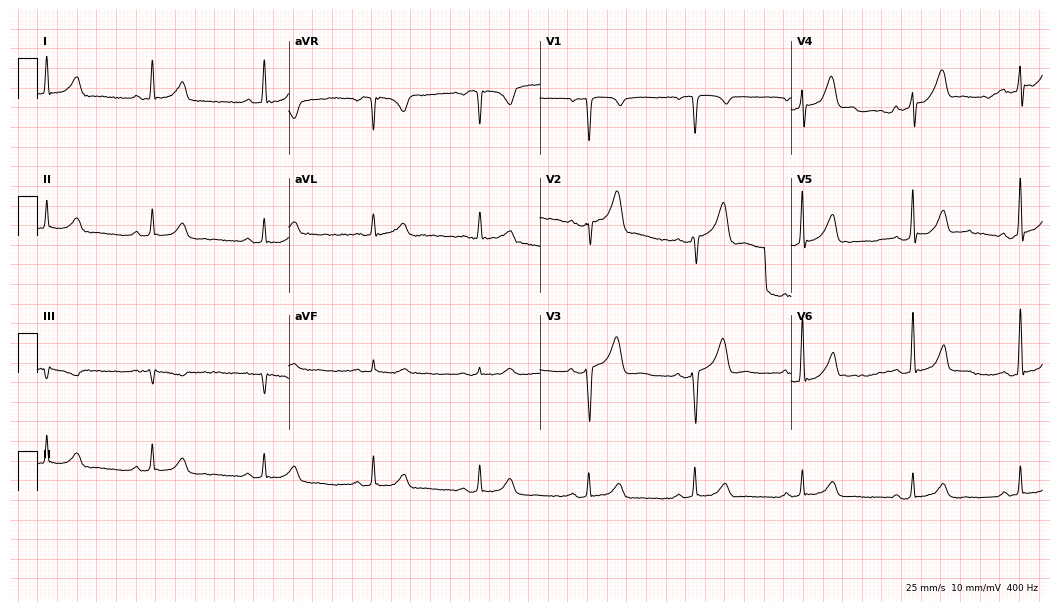
Electrocardiogram, a 61-year-old male patient. Overall reading on record: normal ECG.